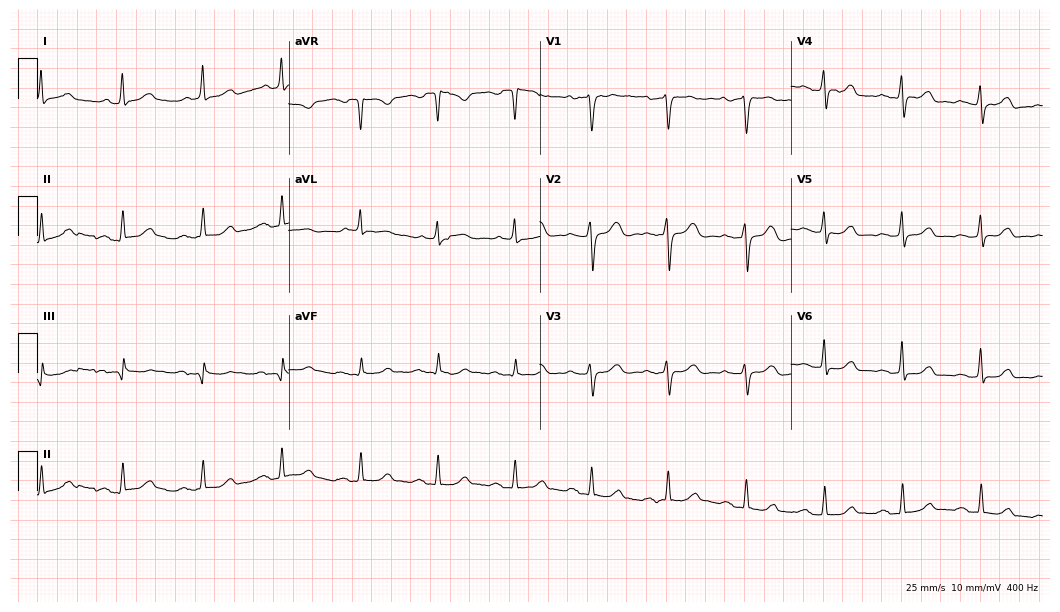
Standard 12-lead ECG recorded from a female patient, 57 years old (10.2-second recording at 400 Hz). Read as a normal ECG.